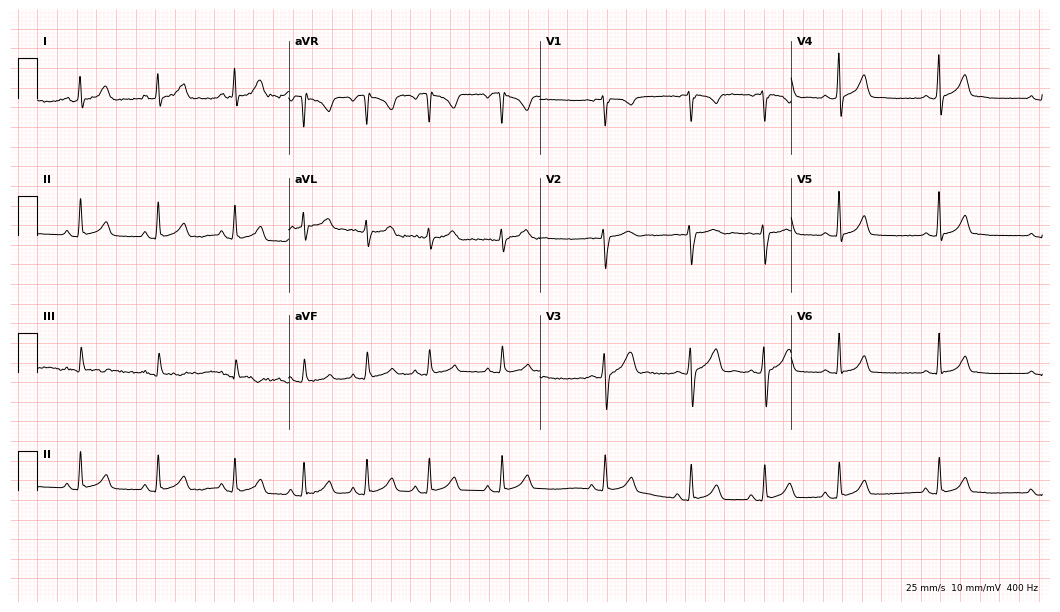
Electrocardiogram (10.2-second recording at 400 Hz), a woman, 26 years old. Overall reading on record: normal ECG.